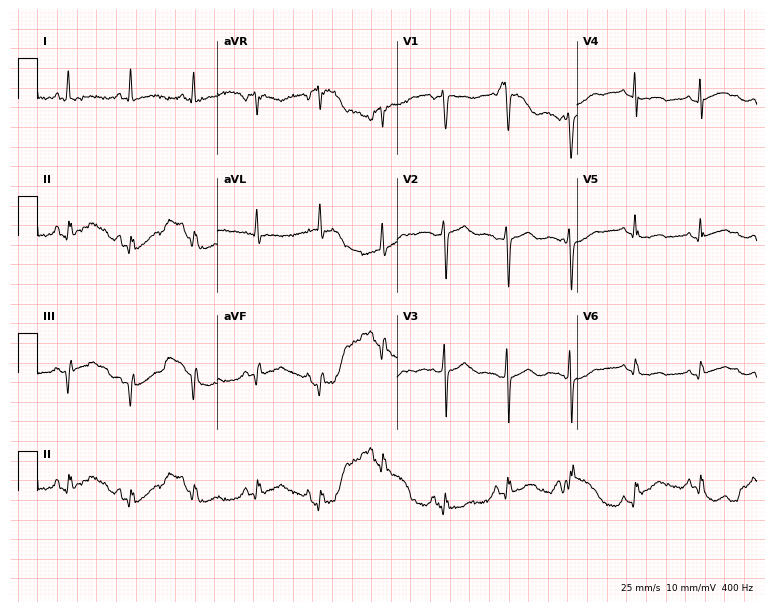
Standard 12-lead ECG recorded from a 69-year-old woman (7.3-second recording at 400 Hz). None of these six findings is recorded: first-degree AV block, right bundle branch block, left bundle branch block, sinus bradycardia, atrial fibrillation, sinus tachycardia. Other findings, if any, are not listed.